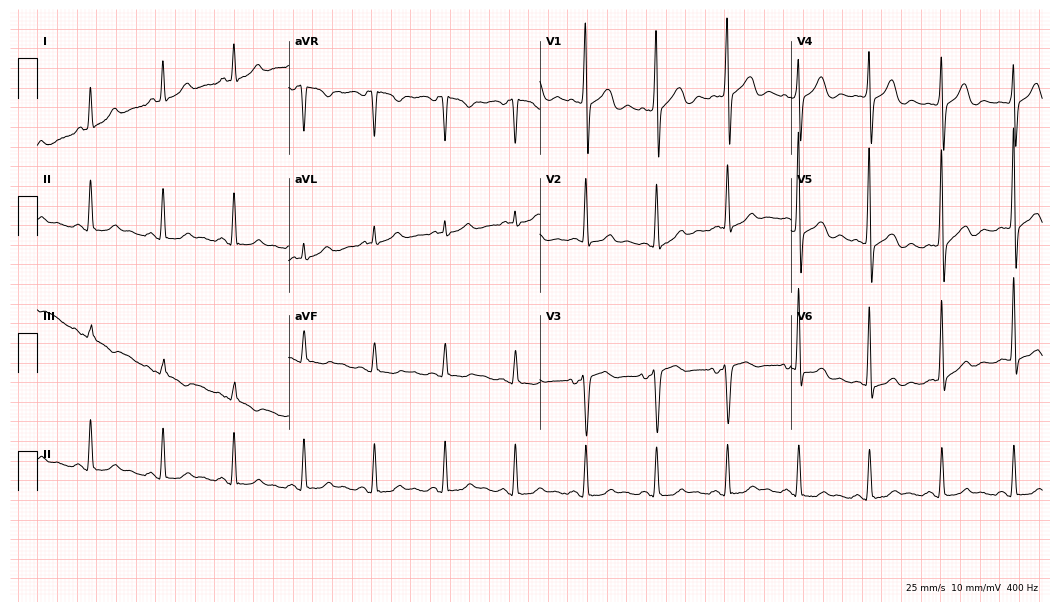
Resting 12-lead electrocardiogram (10.2-second recording at 400 Hz). Patient: a 39-year-old male. Read as a normal ECG.